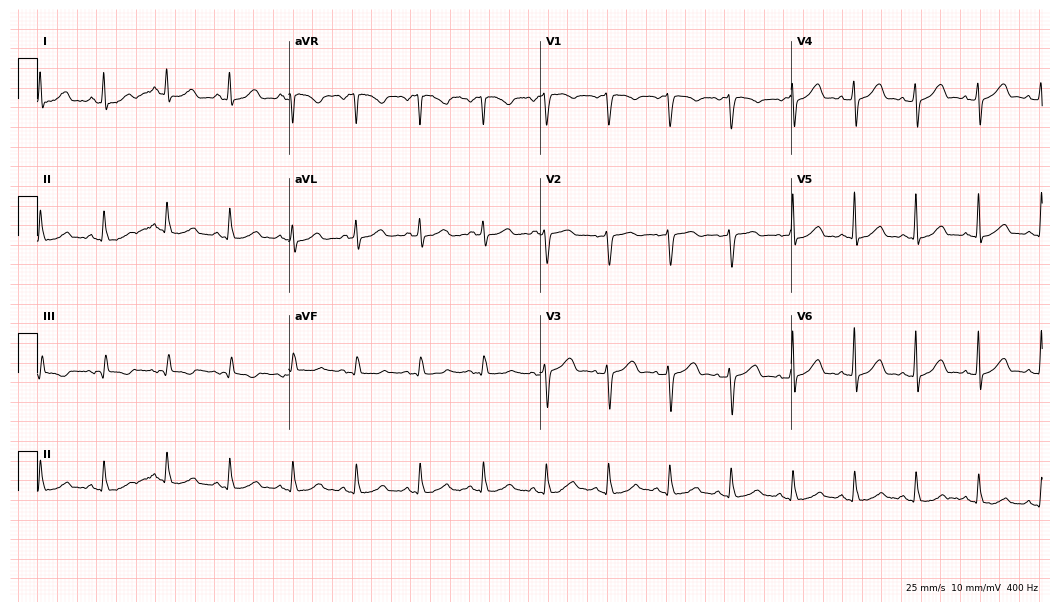
Standard 12-lead ECG recorded from a 38-year-old female. None of these six findings is recorded: first-degree AV block, right bundle branch block, left bundle branch block, sinus bradycardia, atrial fibrillation, sinus tachycardia.